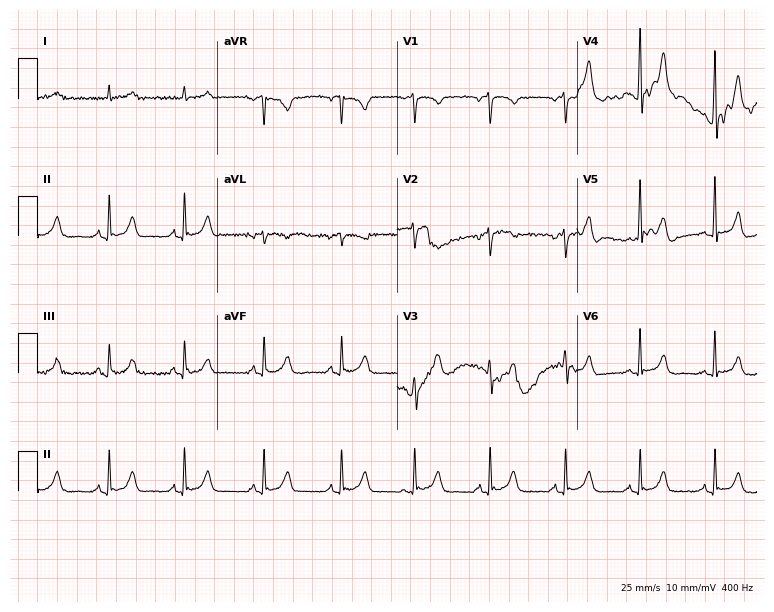
12-lead ECG from a male patient, 69 years old. Recorded interpretation: within normal limits.